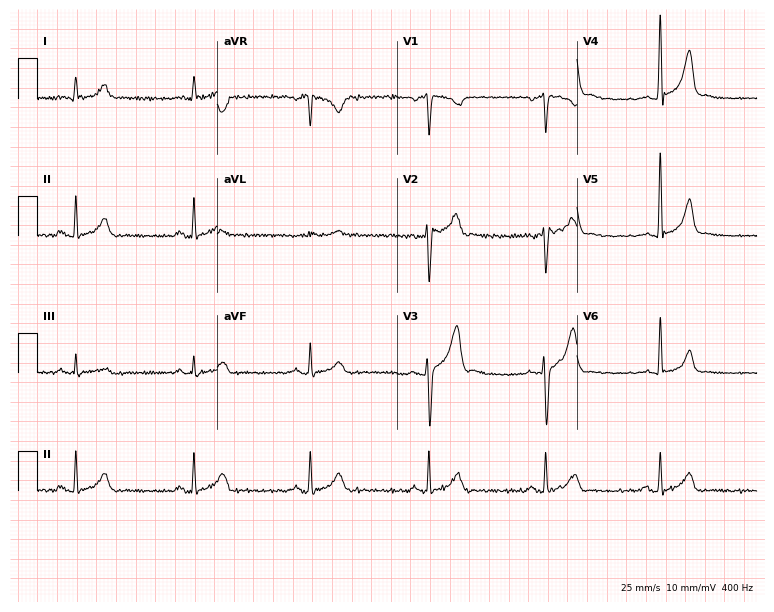
ECG — a male patient, 44 years old. Screened for six findings — first-degree AV block, right bundle branch block (RBBB), left bundle branch block (LBBB), sinus bradycardia, atrial fibrillation (AF), sinus tachycardia — none is recorded. Only these six findings were labelled.